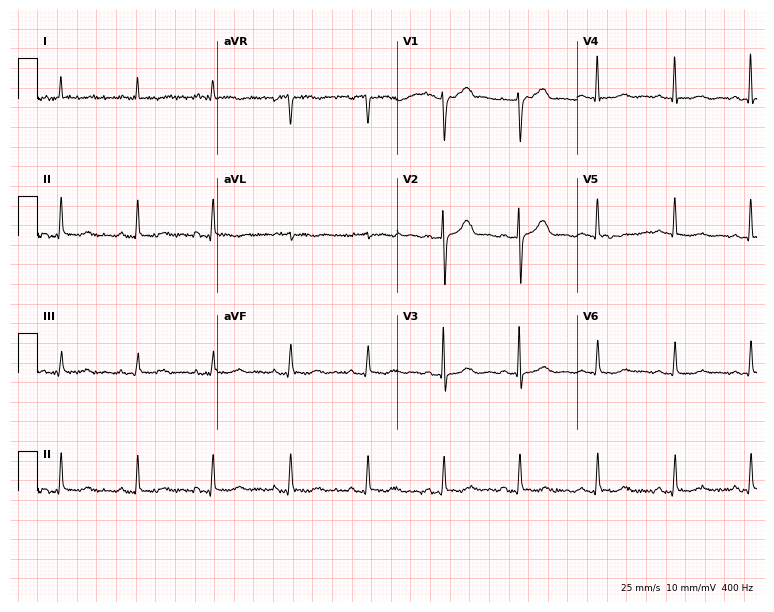
Electrocardiogram (7.3-second recording at 400 Hz), a woman, 68 years old. Of the six screened findings (first-degree AV block, right bundle branch block (RBBB), left bundle branch block (LBBB), sinus bradycardia, atrial fibrillation (AF), sinus tachycardia), none is recorded.